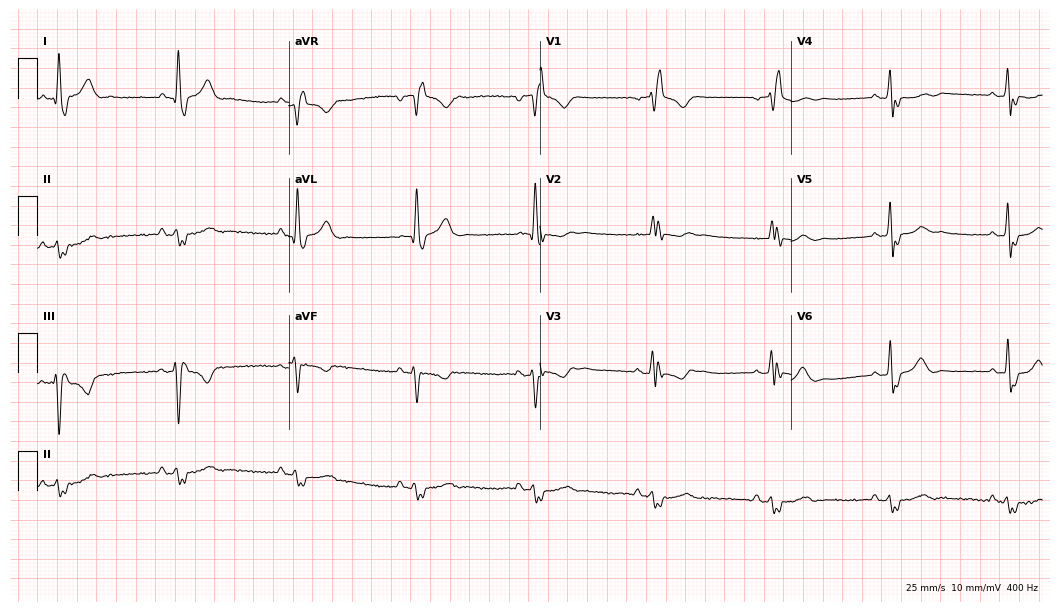
Resting 12-lead electrocardiogram (10.2-second recording at 400 Hz). Patient: a man, 78 years old. None of these six findings is recorded: first-degree AV block, right bundle branch block, left bundle branch block, sinus bradycardia, atrial fibrillation, sinus tachycardia. Findings outside these six are not listed.